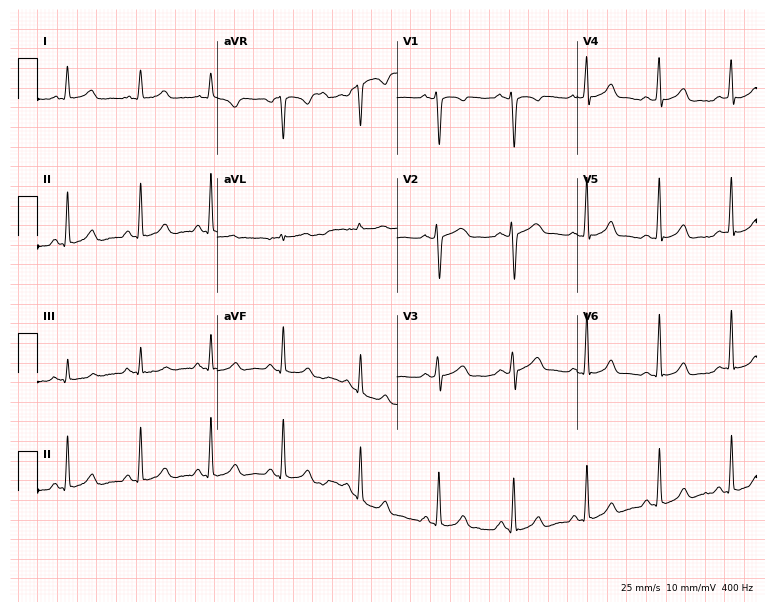
ECG — a 21-year-old female patient. Screened for six findings — first-degree AV block, right bundle branch block, left bundle branch block, sinus bradycardia, atrial fibrillation, sinus tachycardia — none is recorded.